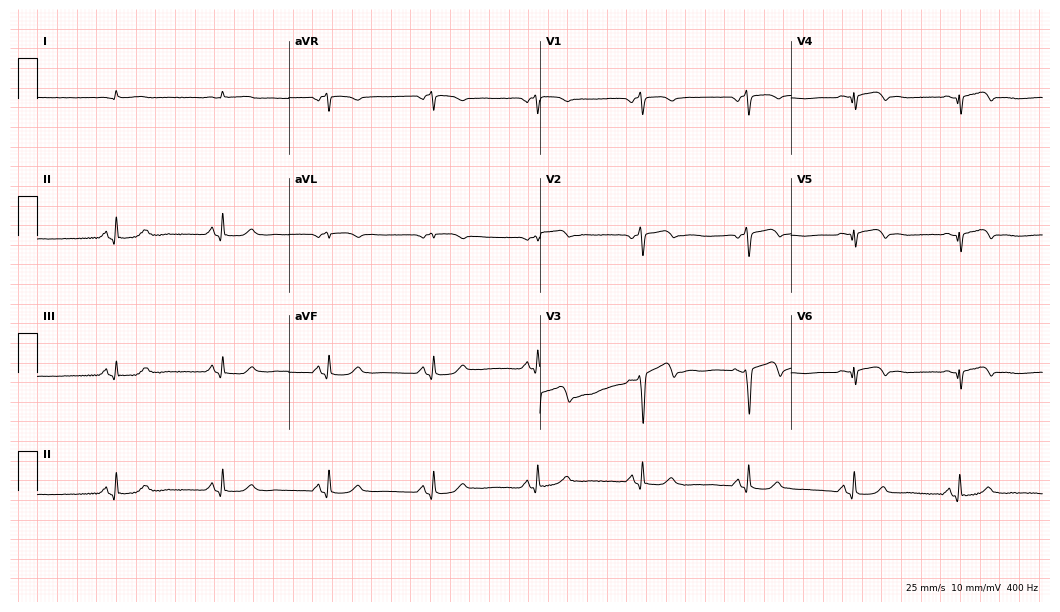
Resting 12-lead electrocardiogram (10.2-second recording at 400 Hz). Patient: a male, 82 years old. None of these six findings is recorded: first-degree AV block, right bundle branch block, left bundle branch block, sinus bradycardia, atrial fibrillation, sinus tachycardia. Findings outside these six are not listed.